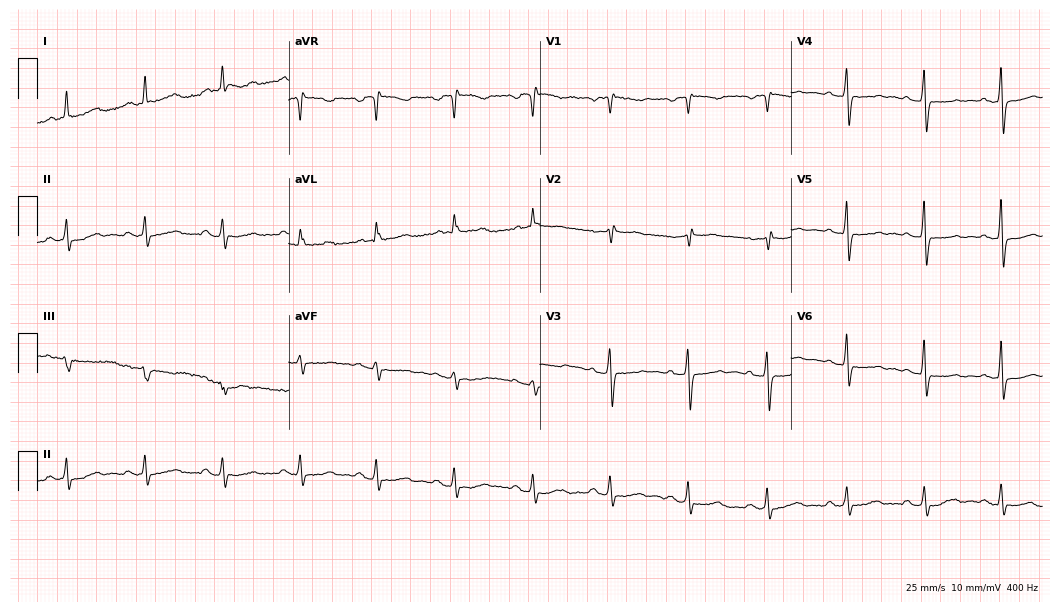
Standard 12-lead ECG recorded from a female patient, 49 years old (10.2-second recording at 400 Hz). None of these six findings is recorded: first-degree AV block, right bundle branch block, left bundle branch block, sinus bradycardia, atrial fibrillation, sinus tachycardia. Other findings, if any, are not listed.